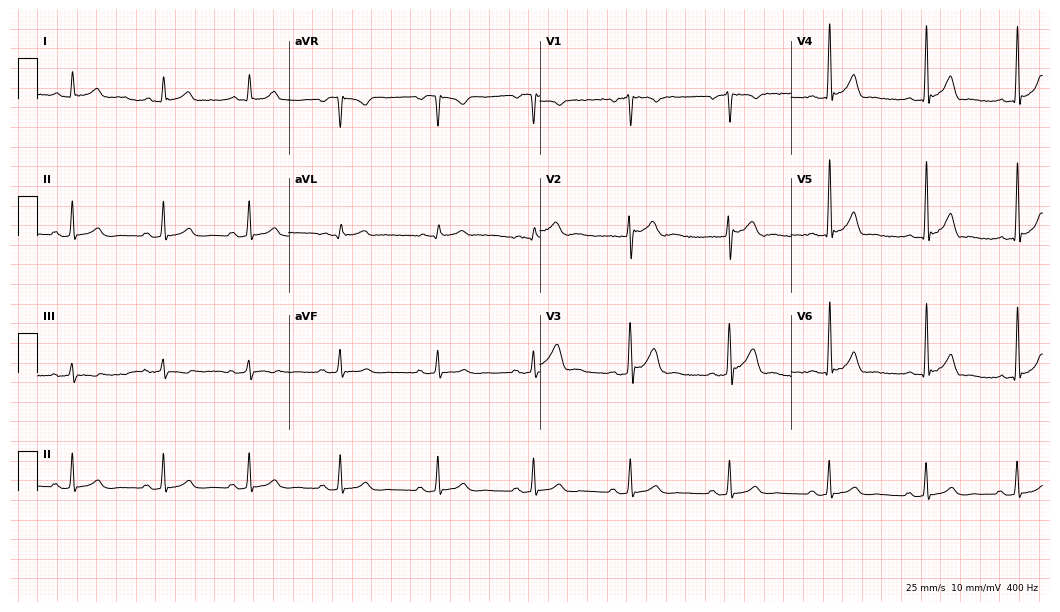
Electrocardiogram (10.2-second recording at 400 Hz), a 39-year-old male patient. Overall reading on record: normal ECG.